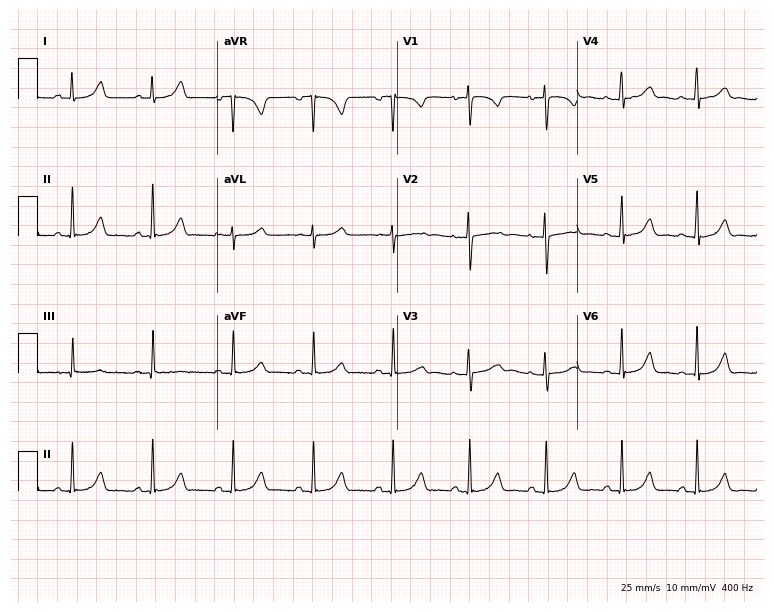
ECG — a female patient, 25 years old. Labelled as a normal ECG.